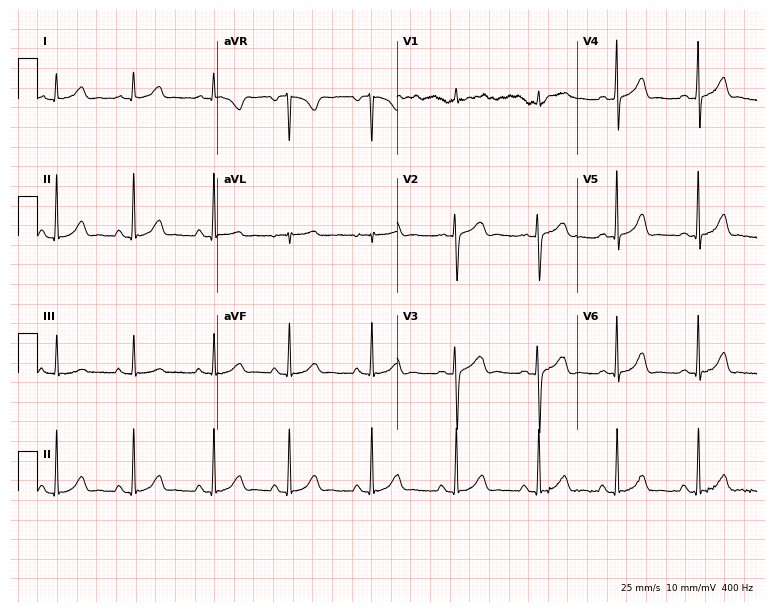
12-lead ECG (7.3-second recording at 400 Hz) from a woman, 20 years old. Labelled as a normal ECG.